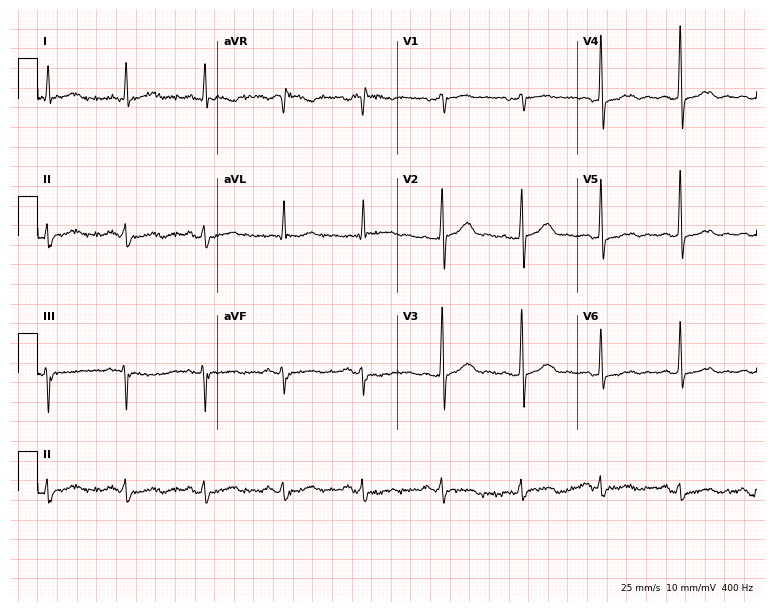
Electrocardiogram (7.3-second recording at 400 Hz), a 57-year-old male patient. Of the six screened findings (first-degree AV block, right bundle branch block (RBBB), left bundle branch block (LBBB), sinus bradycardia, atrial fibrillation (AF), sinus tachycardia), none is recorded. Findings outside these six are not listed.